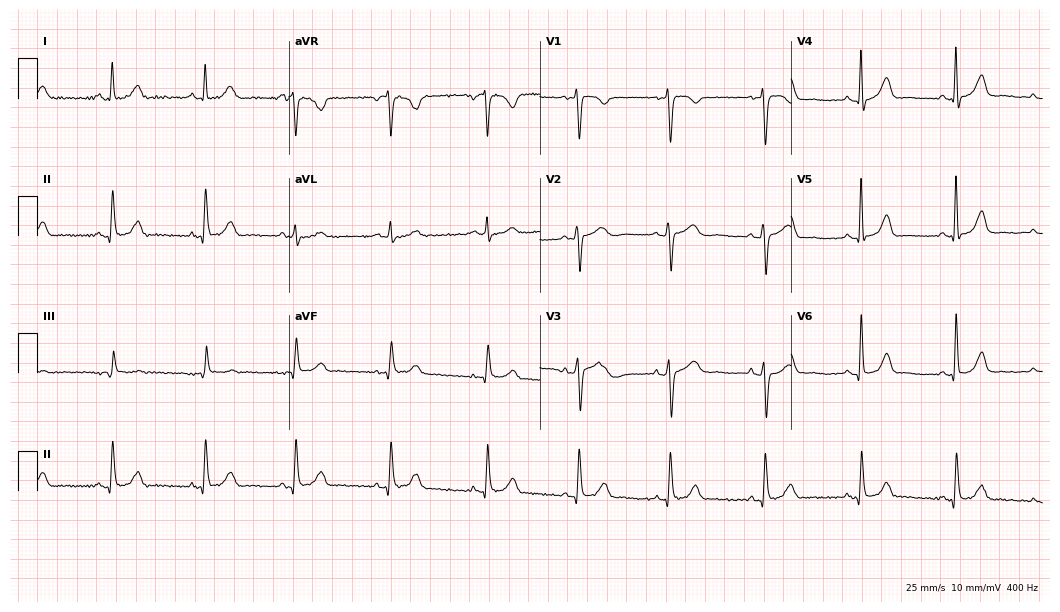
ECG — a 52-year-old woman. Labelled as a normal ECG.